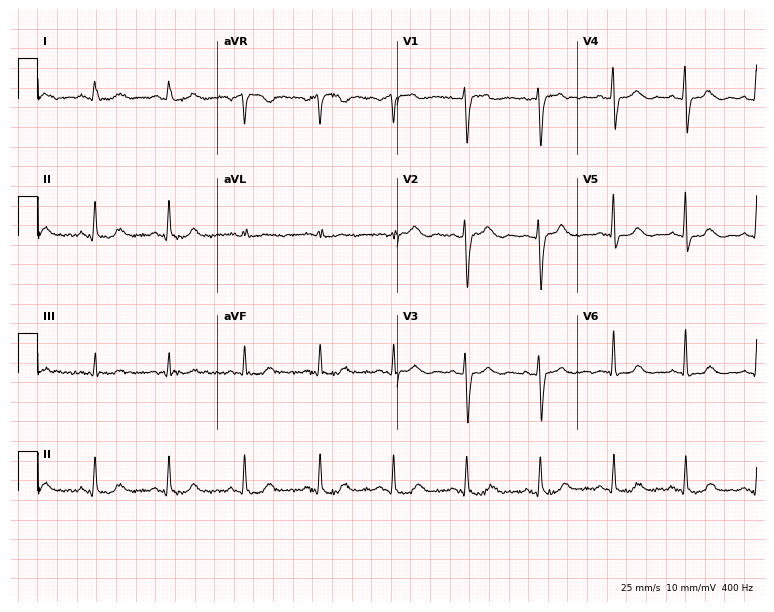
Electrocardiogram, a 45-year-old female. Overall reading on record: normal ECG.